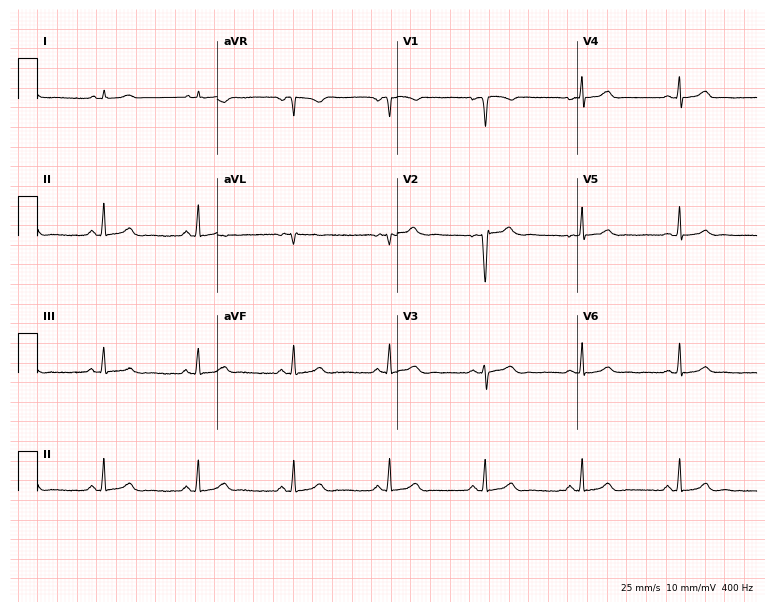
ECG (7.3-second recording at 400 Hz) — a female patient, 33 years old. Labelled as a normal ECG.